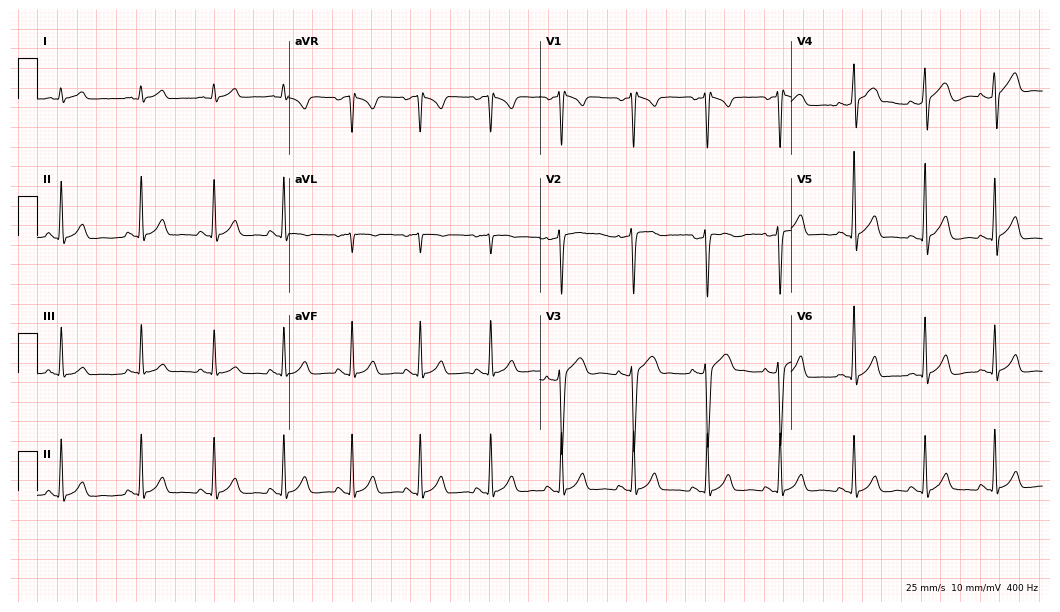
Standard 12-lead ECG recorded from a man, 25 years old. Read as a normal ECG.